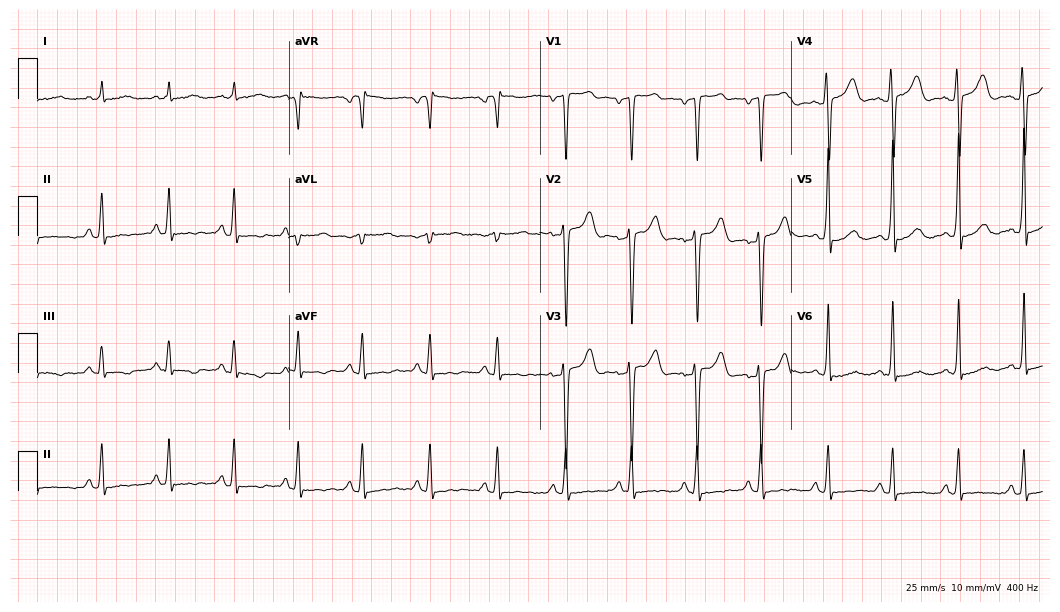
12-lead ECG from a male, 52 years old (10.2-second recording at 400 Hz). No first-degree AV block, right bundle branch block (RBBB), left bundle branch block (LBBB), sinus bradycardia, atrial fibrillation (AF) or sinus tachycardia recorded for this tracing. Other findings, if any, are not listed.